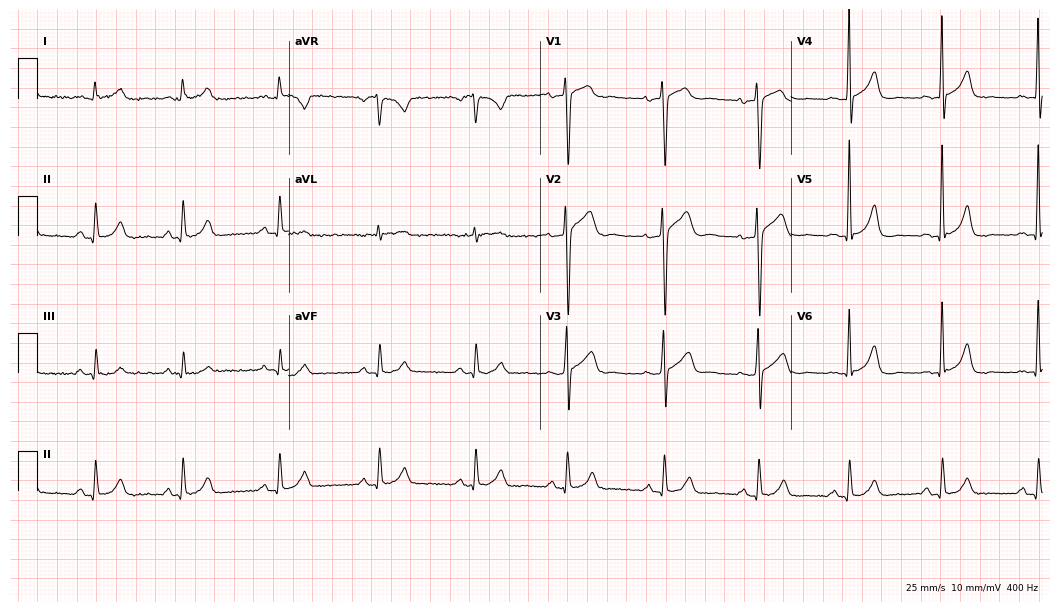
ECG (10.2-second recording at 400 Hz) — a male patient, 32 years old. Labelled as a normal ECG.